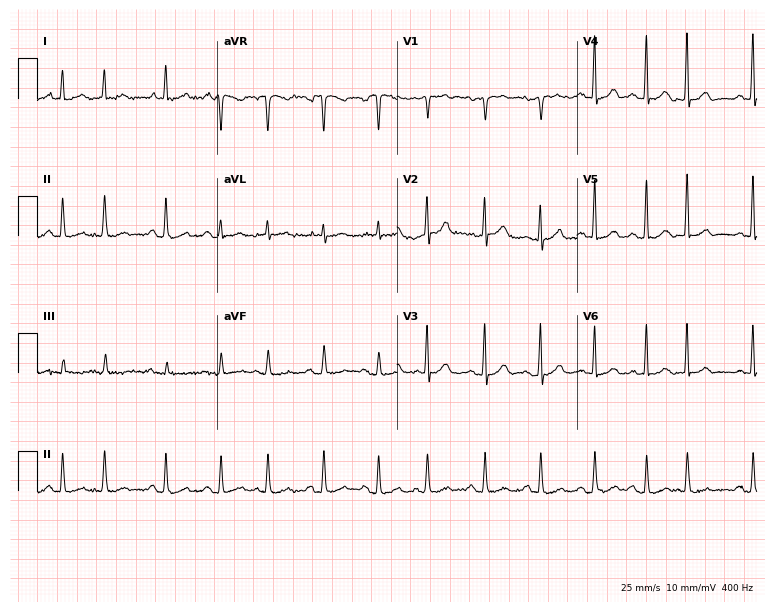
ECG — a 74-year-old male patient. Findings include sinus tachycardia (a sinus rate of 100 beats per minute or more).